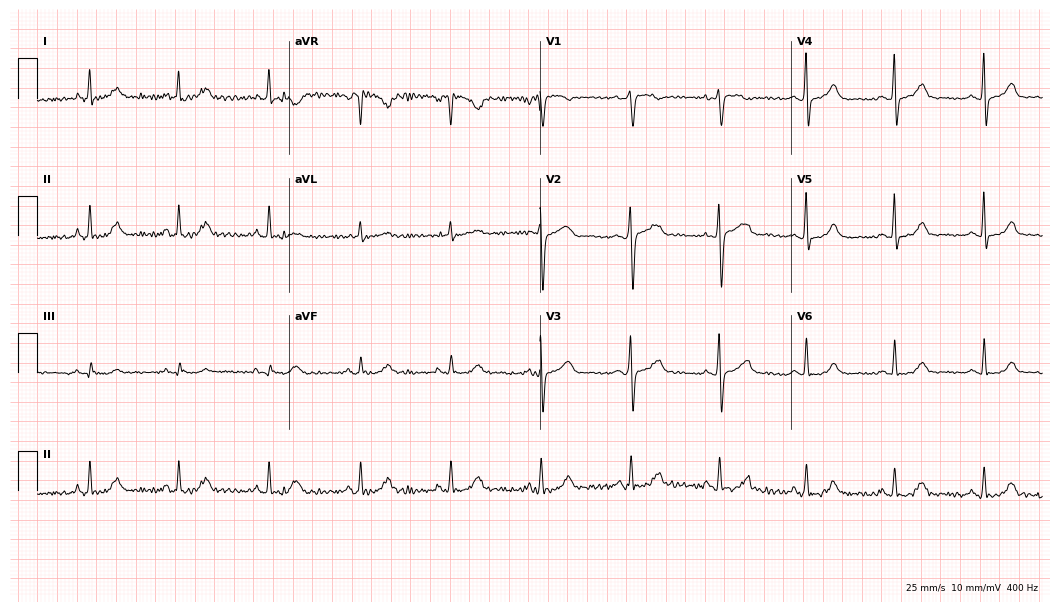
Resting 12-lead electrocardiogram (10.2-second recording at 400 Hz). Patient: a female, 58 years old. Read as a normal ECG.